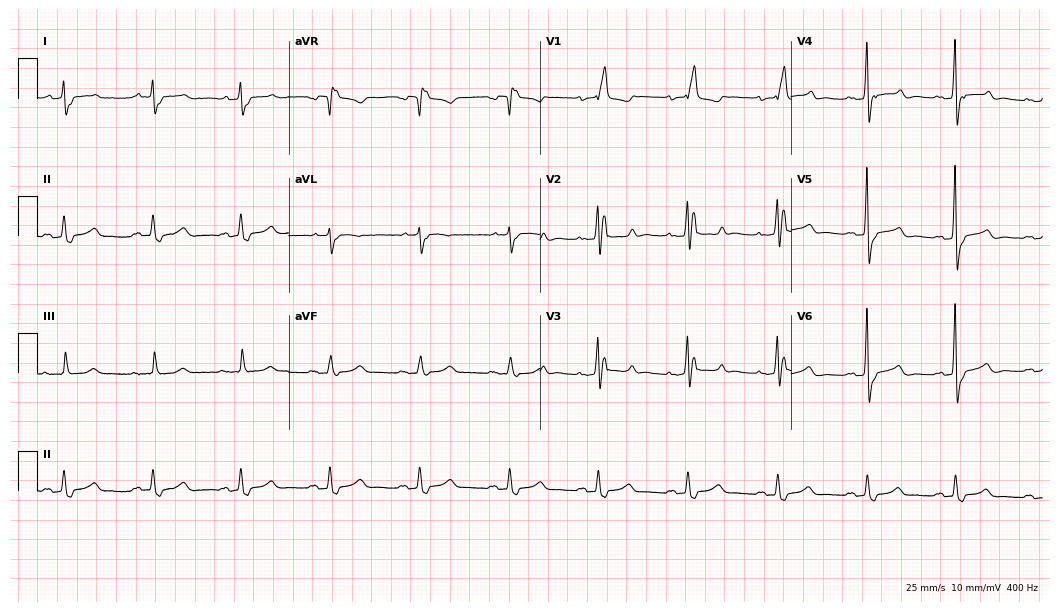
ECG — a female patient, 90 years old or older. Findings include right bundle branch block (RBBB).